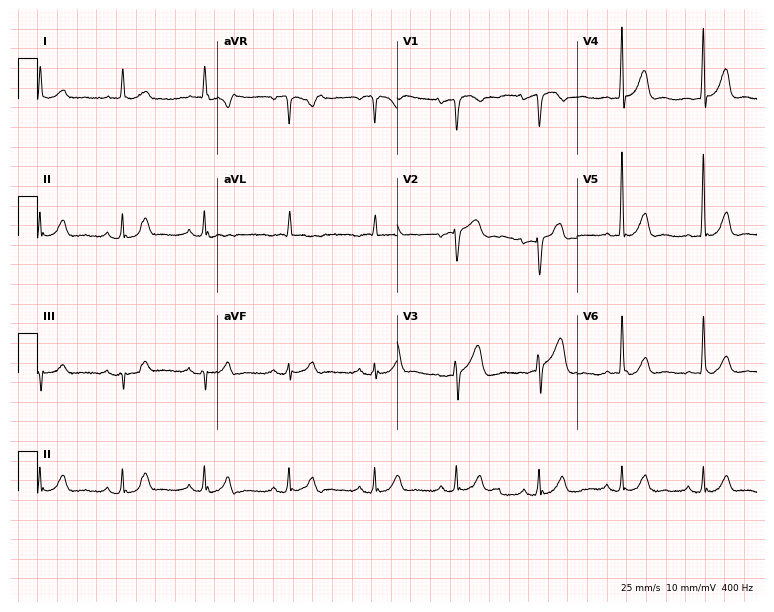
ECG (7.3-second recording at 400 Hz) — a 73-year-old male. Screened for six findings — first-degree AV block, right bundle branch block, left bundle branch block, sinus bradycardia, atrial fibrillation, sinus tachycardia — none is recorded. Findings outside these six are not listed.